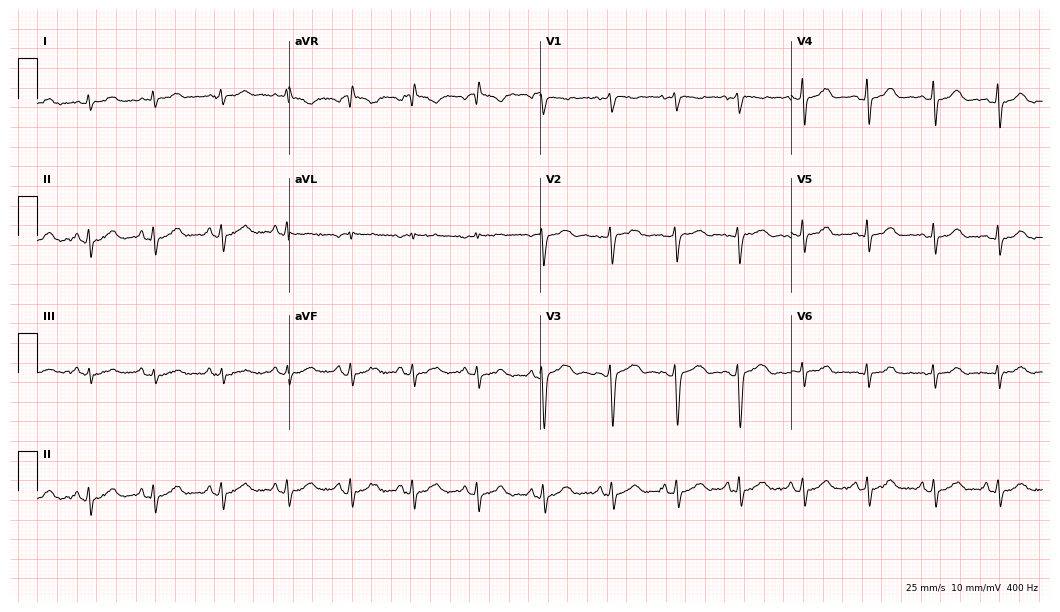
Electrocardiogram (10.2-second recording at 400 Hz), a female patient, 42 years old. Of the six screened findings (first-degree AV block, right bundle branch block, left bundle branch block, sinus bradycardia, atrial fibrillation, sinus tachycardia), none is recorded. Findings outside these six are not listed.